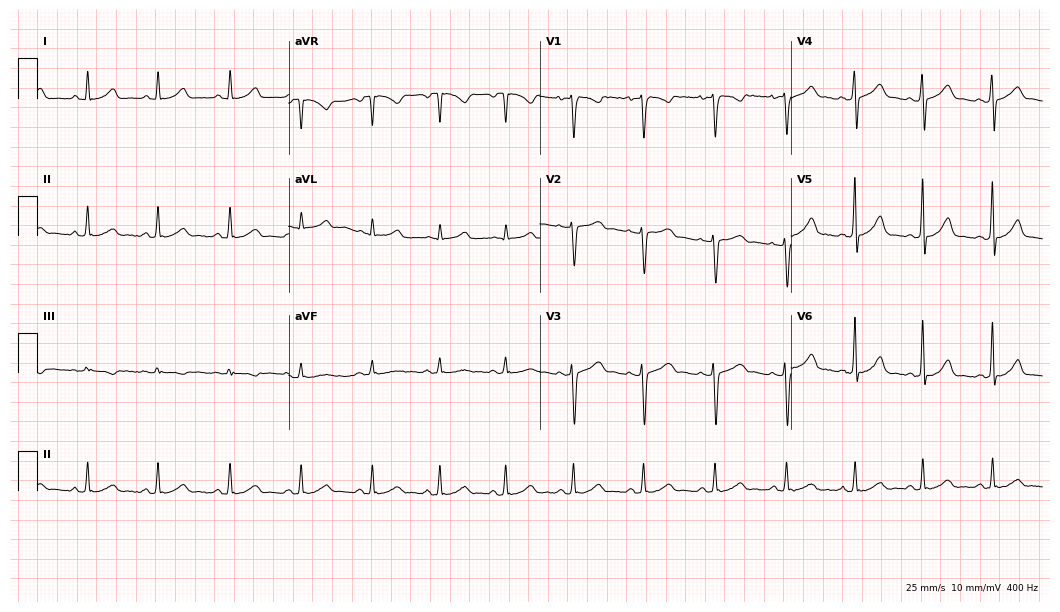
Resting 12-lead electrocardiogram. Patient: a female, 26 years old. Read as a normal ECG.